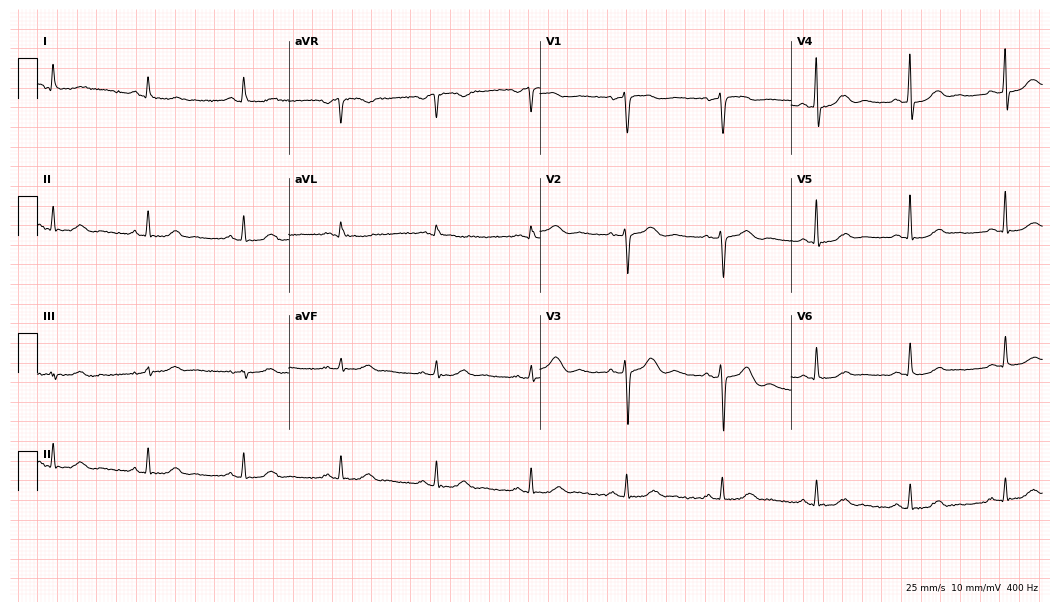
12-lead ECG from a 77-year-old female. Labelled as a normal ECG.